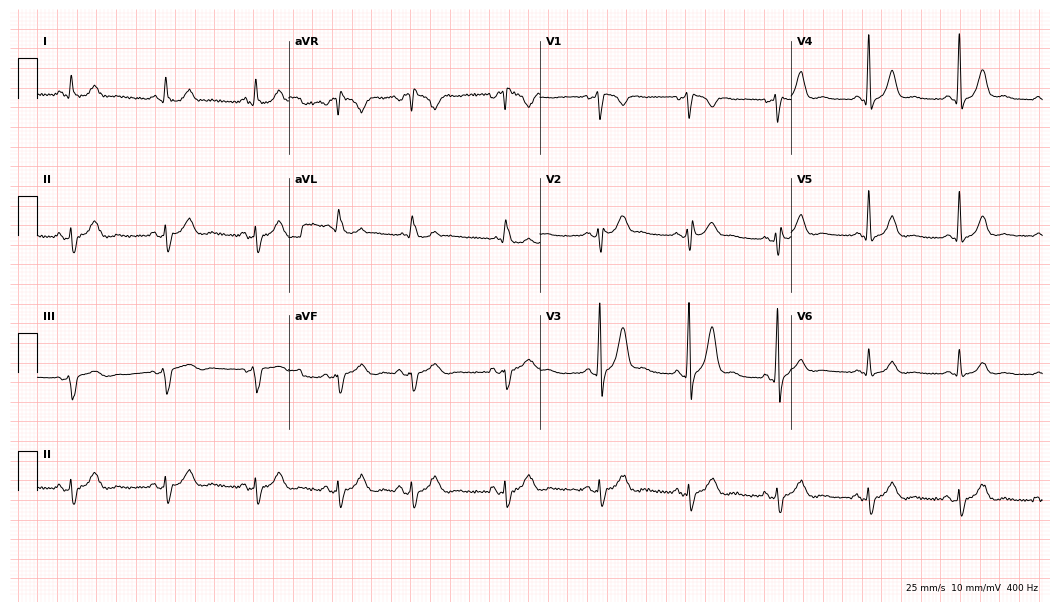
12-lead ECG from a 35-year-old male. Labelled as a normal ECG.